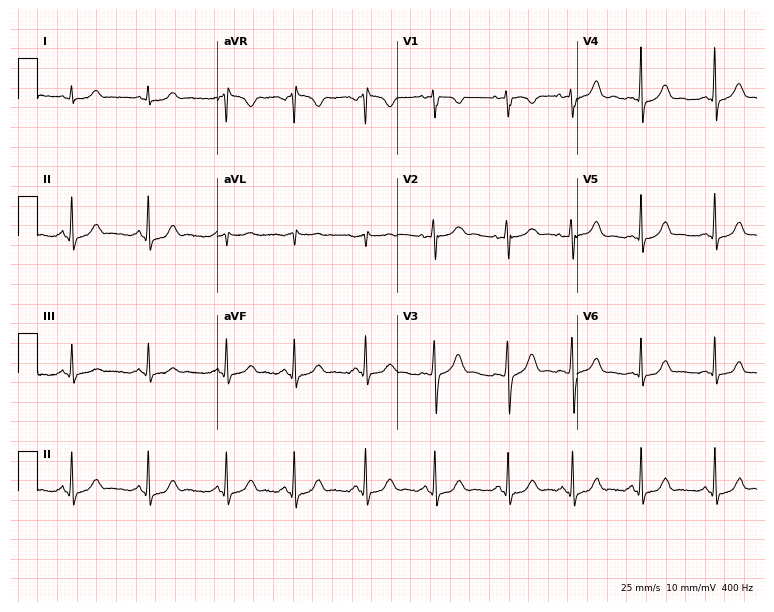
Standard 12-lead ECG recorded from a 22-year-old woman (7.3-second recording at 400 Hz). Read as a normal ECG.